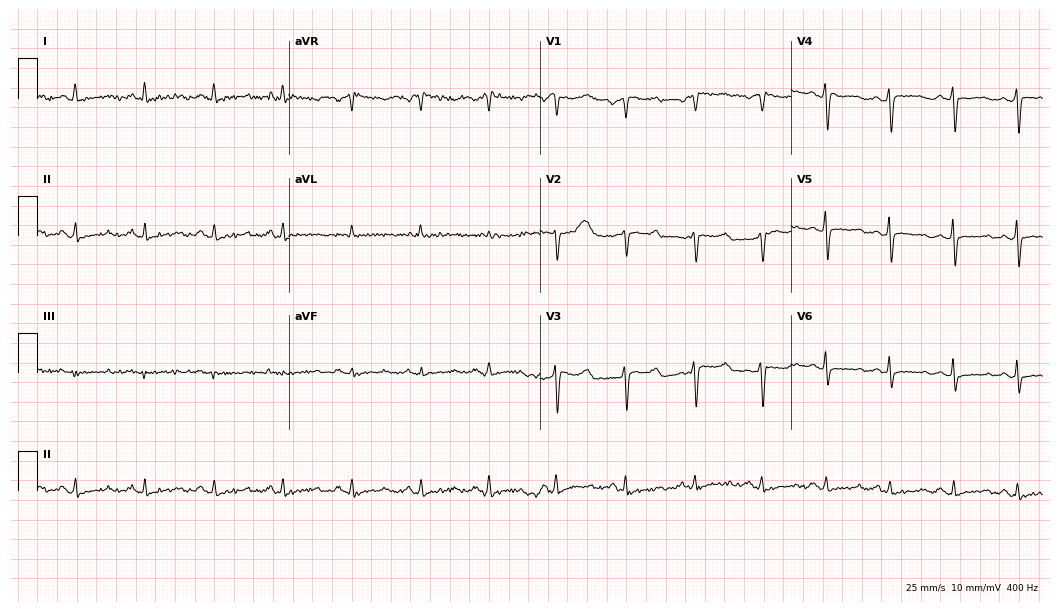
Resting 12-lead electrocardiogram. Patient: a woman, 62 years old. None of these six findings is recorded: first-degree AV block, right bundle branch block, left bundle branch block, sinus bradycardia, atrial fibrillation, sinus tachycardia. Findings outside these six are not listed.